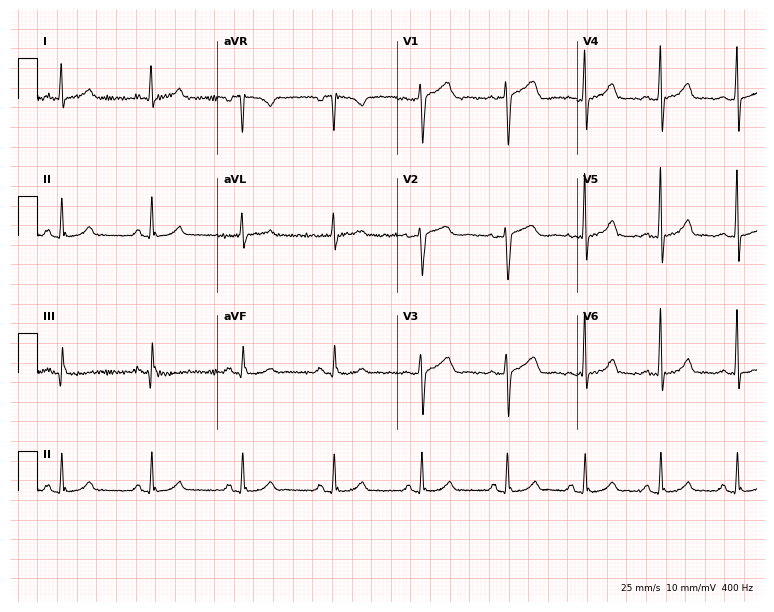
12-lead ECG (7.3-second recording at 400 Hz) from a woman, 49 years old. Labelled as a normal ECG.